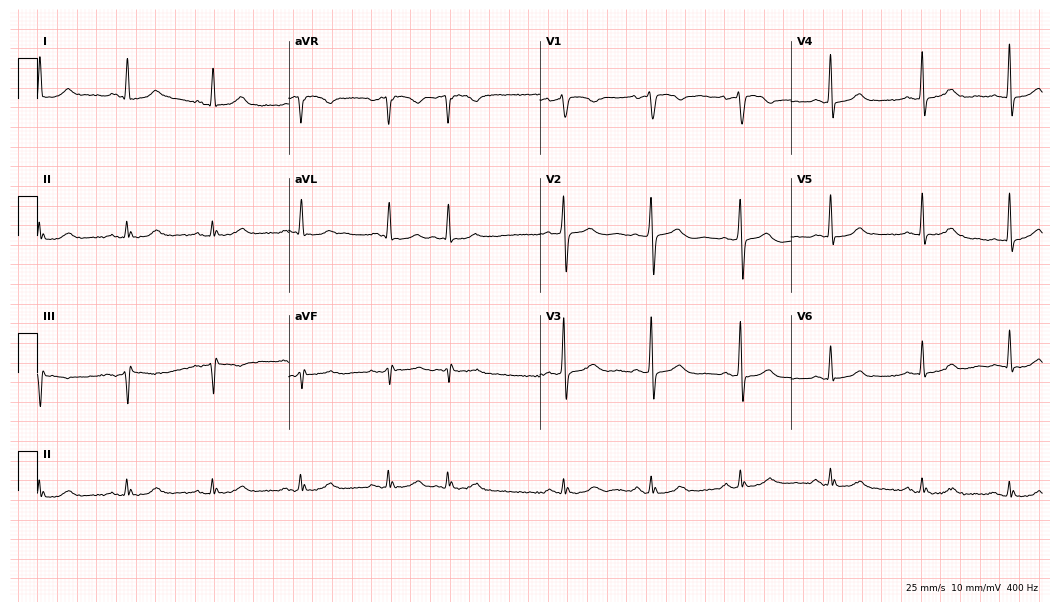
12-lead ECG from a man, 64 years old. Screened for six findings — first-degree AV block, right bundle branch block (RBBB), left bundle branch block (LBBB), sinus bradycardia, atrial fibrillation (AF), sinus tachycardia — none is recorded.